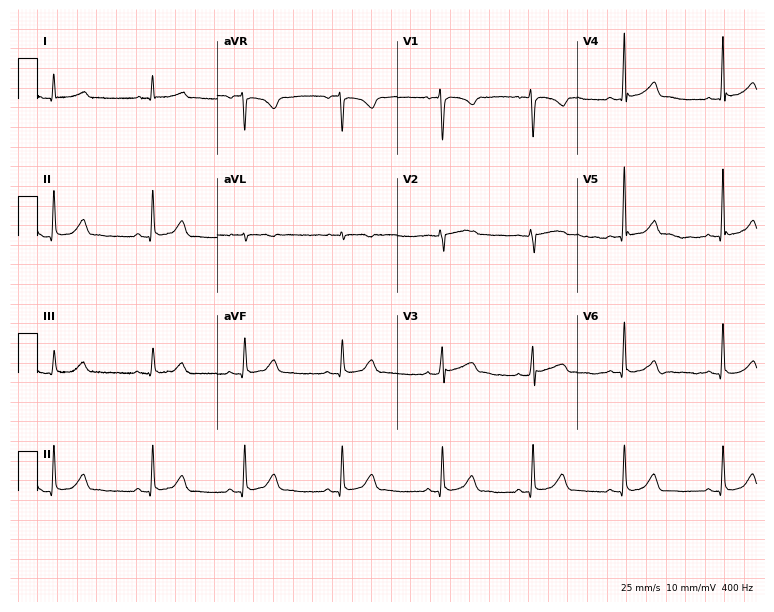
Standard 12-lead ECG recorded from a woman, 42 years old (7.3-second recording at 400 Hz). Read as a normal ECG.